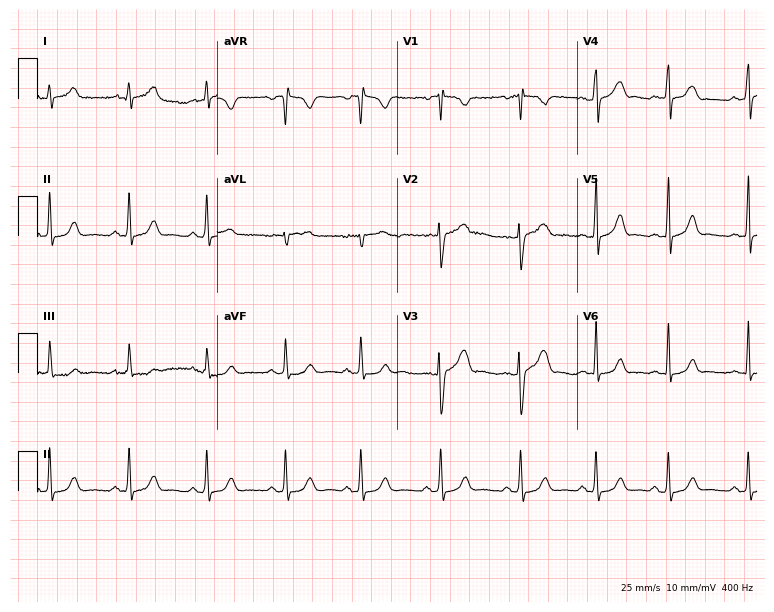
ECG — a woman, 31 years old. Screened for six findings — first-degree AV block, right bundle branch block (RBBB), left bundle branch block (LBBB), sinus bradycardia, atrial fibrillation (AF), sinus tachycardia — none is recorded.